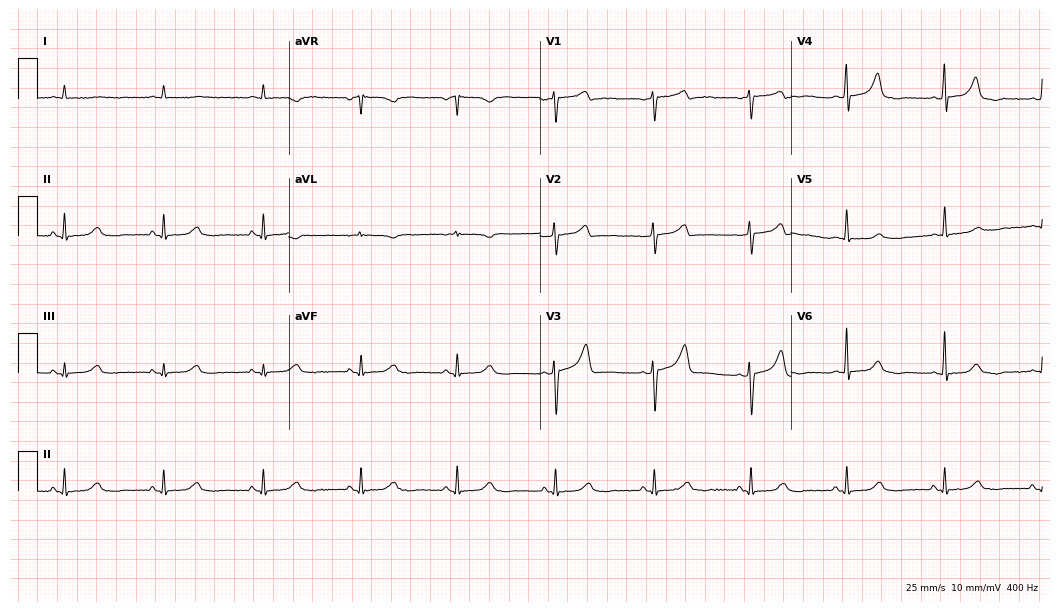
Electrocardiogram, a 67-year-old man. Overall reading on record: normal ECG.